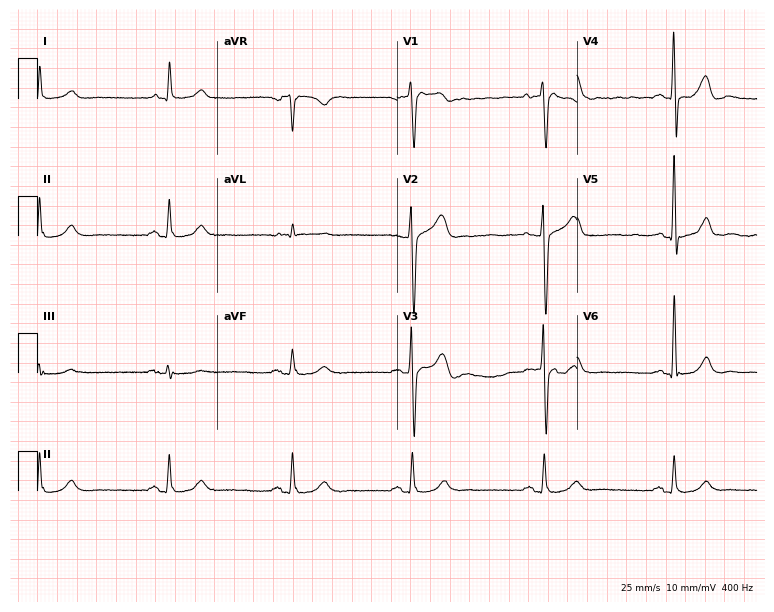
12-lead ECG from a 73-year-old male (7.3-second recording at 400 Hz). Shows sinus bradycardia (a sinus rate of 50 beats per minute or less).